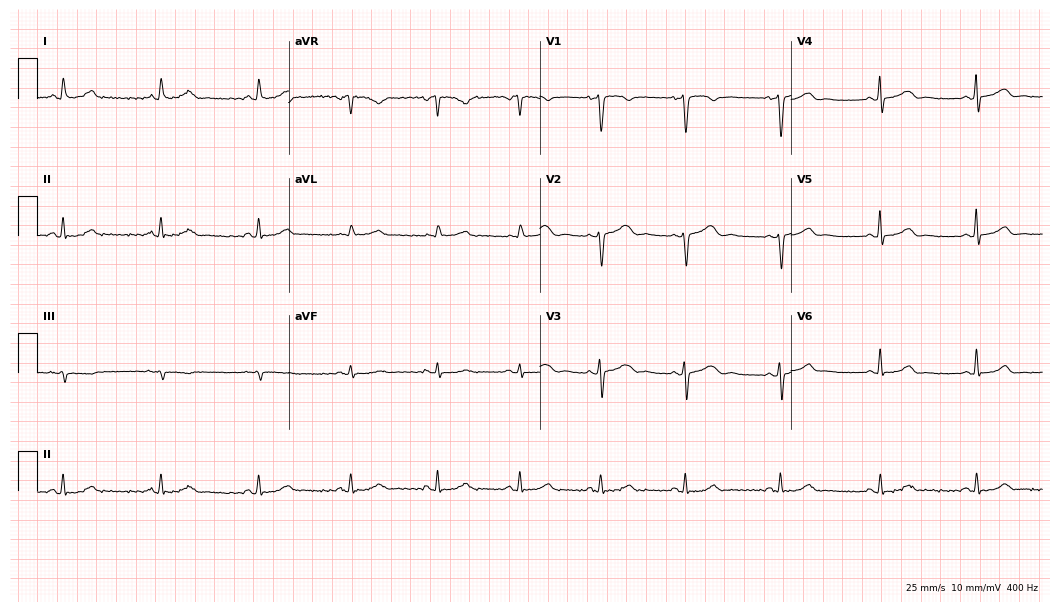
12-lead ECG from a 48-year-old female patient. Recorded interpretation: within normal limits.